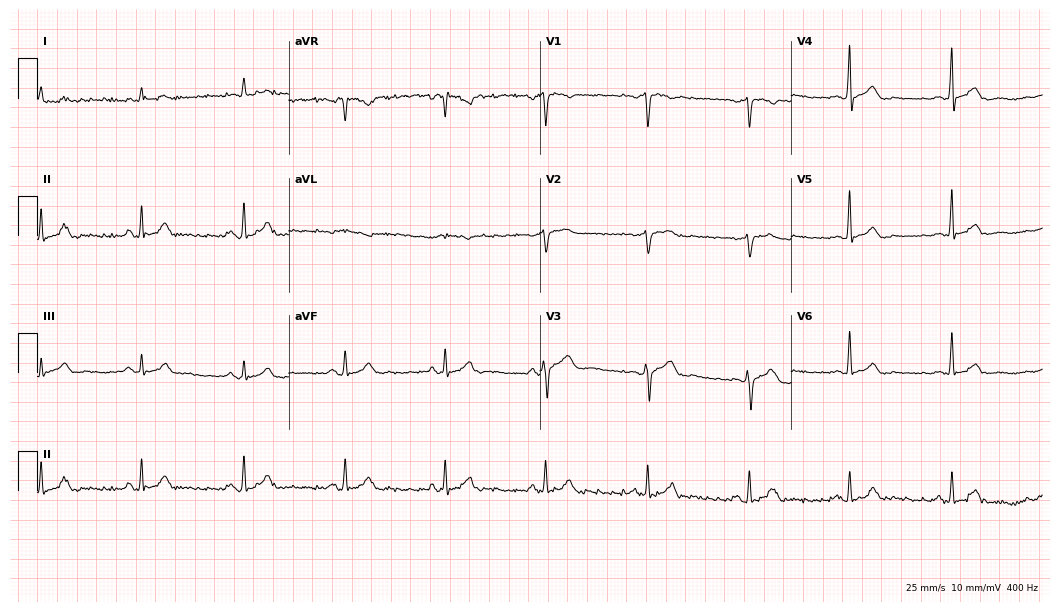
ECG — a male, 68 years old. Screened for six findings — first-degree AV block, right bundle branch block, left bundle branch block, sinus bradycardia, atrial fibrillation, sinus tachycardia — none is recorded.